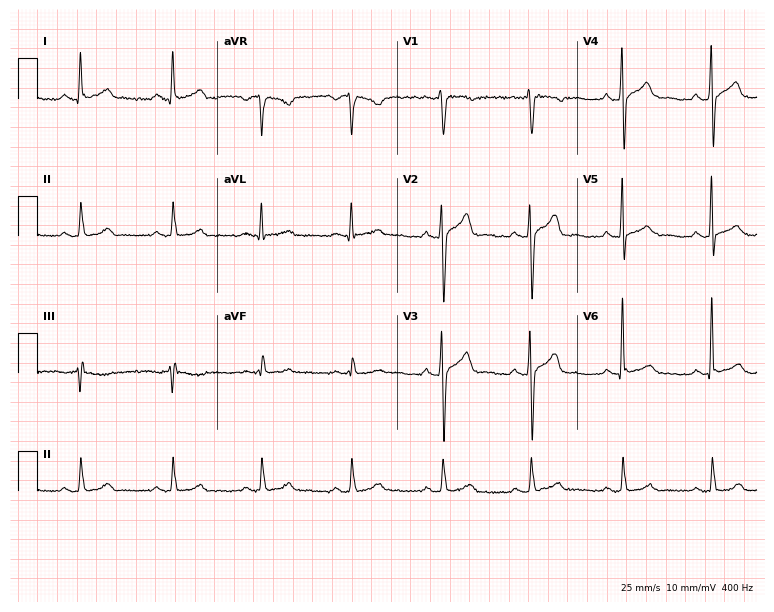
Standard 12-lead ECG recorded from a 37-year-old man (7.3-second recording at 400 Hz). Read as a normal ECG.